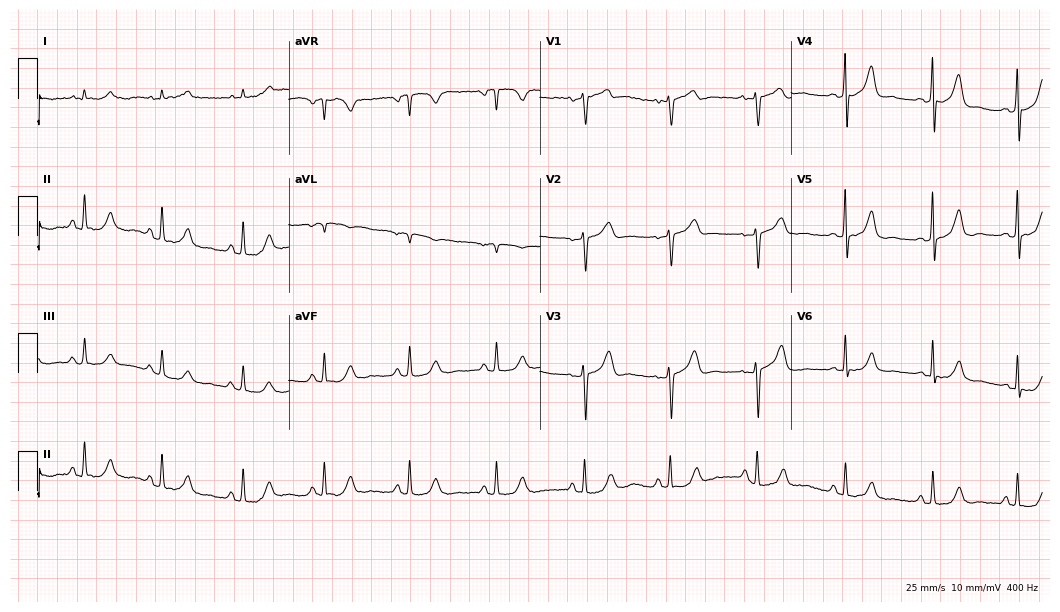
12-lead ECG from a 74-year-old male patient. Labelled as a normal ECG.